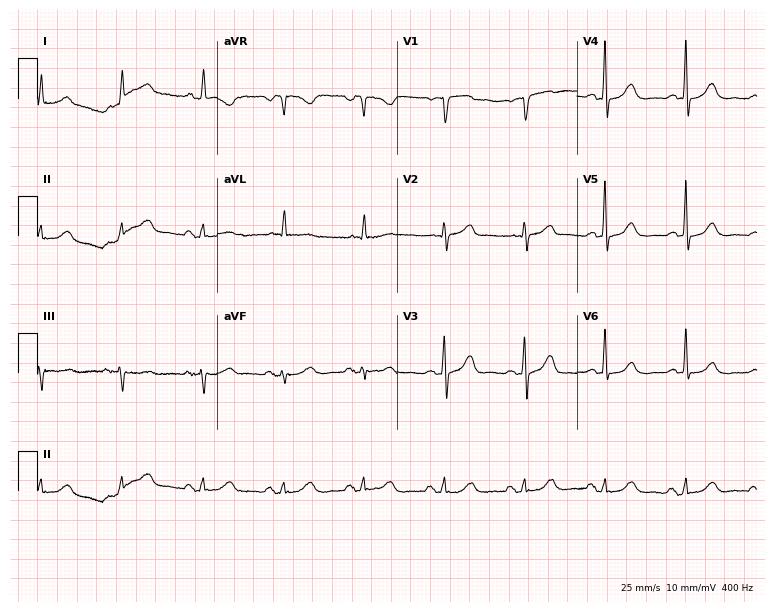
12-lead ECG (7.3-second recording at 400 Hz) from an 81-year-old woman. Screened for six findings — first-degree AV block, right bundle branch block, left bundle branch block, sinus bradycardia, atrial fibrillation, sinus tachycardia — none is recorded.